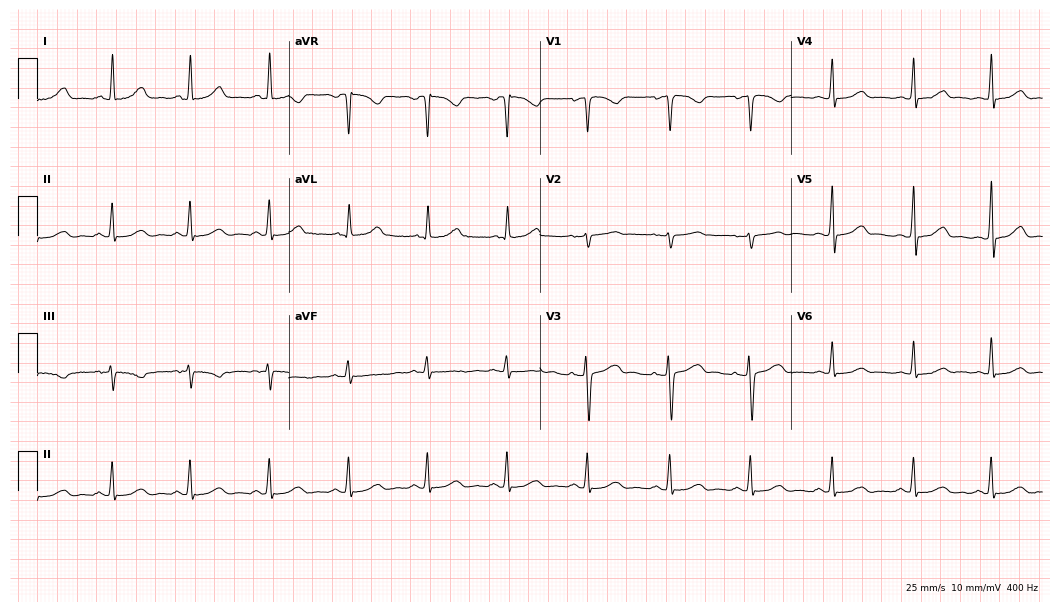
12-lead ECG from a female, 41 years old. Recorded interpretation: within normal limits.